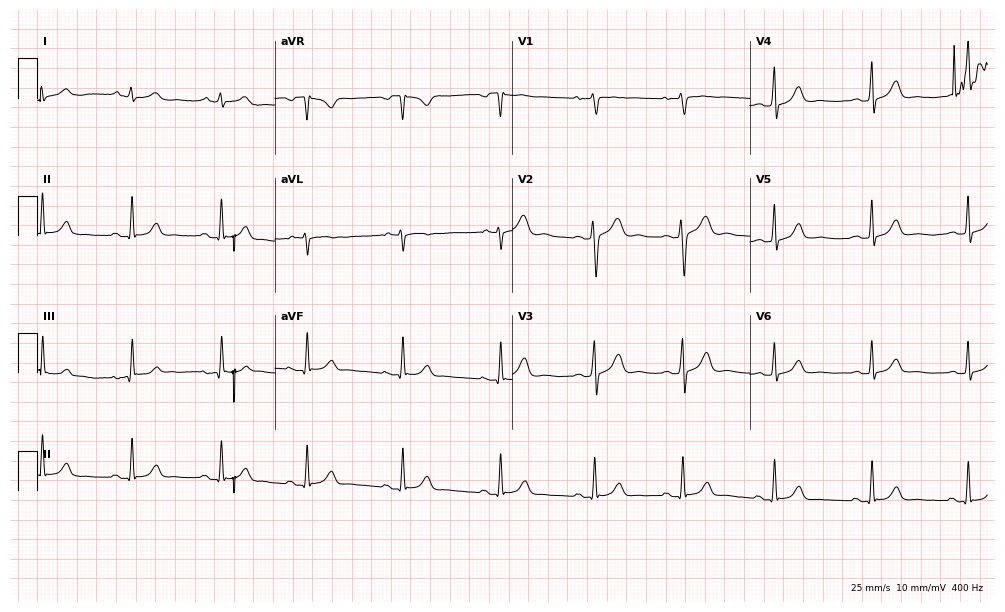
ECG — a 20-year-old woman. Labelled as a normal ECG.